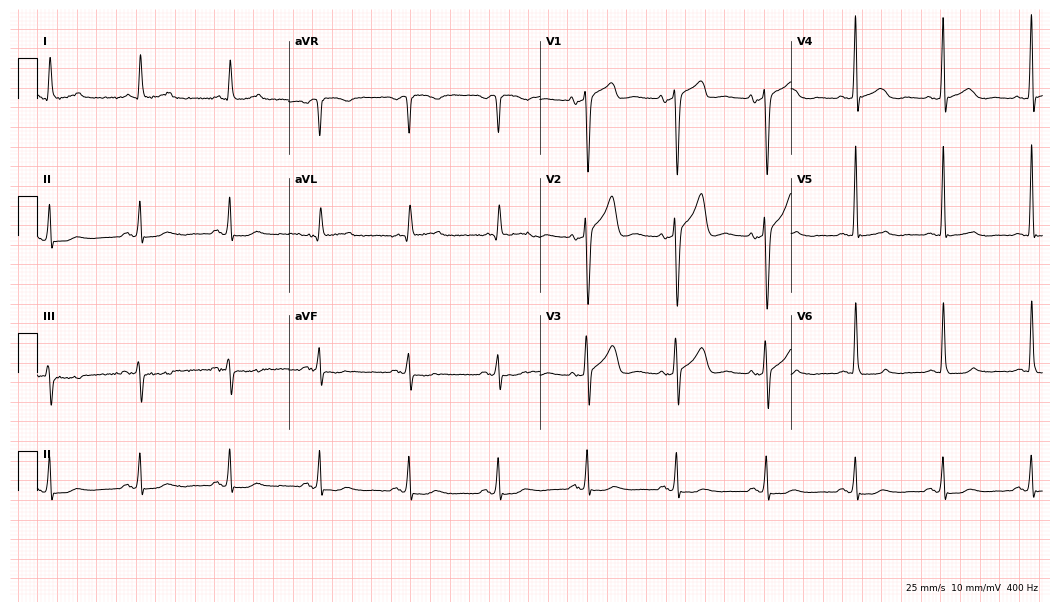
Standard 12-lead ECG recorded from a male patient, 78 years old. None of these six findings is recorded: first-degree AV block, right bundle branch block (RBBB), left bundle branch block (LBBB), sinus bradycardia, atrial fibrillation (AF), sinus tachycardia. Only these six findings were labelled.